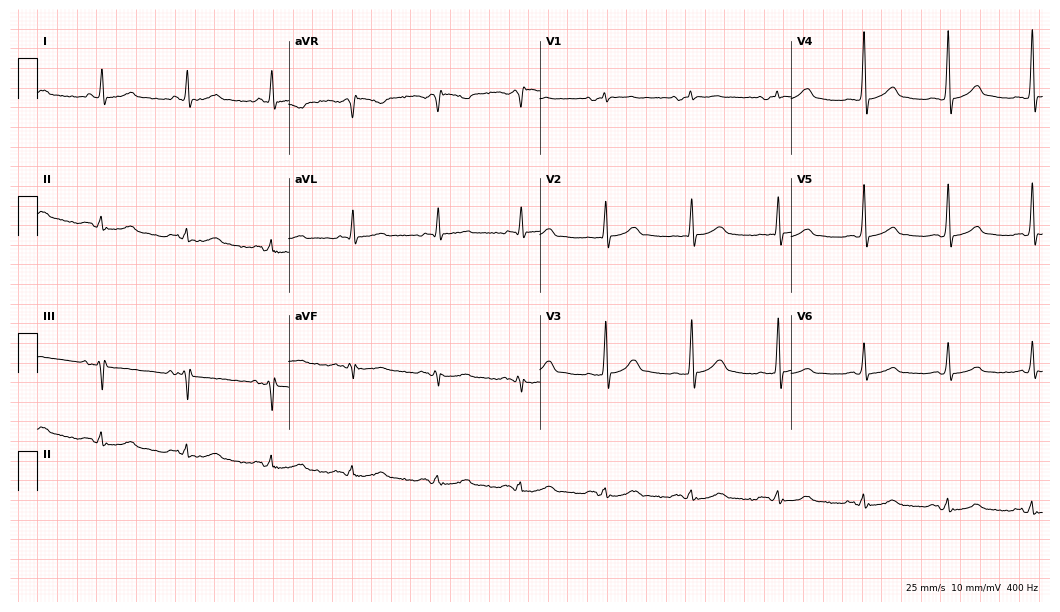
Standard 12-lead ECG recorded from a 79-year-old man (10.2-second recording at 400 Hz). None of these six findings is recorded: first-degree AV block, right bundle branch block (RBBB), left bundle branch block (LBBB), sinus bradycardia, atrial fibrillation (AF), sinus tachycardia. Only these six findings were labelled.